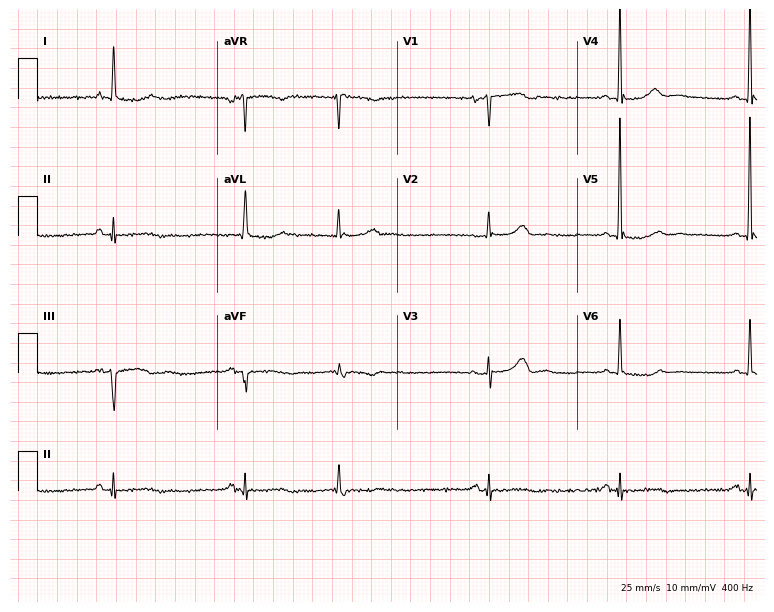
Standard 12-lead ECG recorded from a woman, 72 years old (7.3-second recording at 400 Hz). The tracing shows sinus bradycardia (a sinus rate of 50 beats per minute or less).